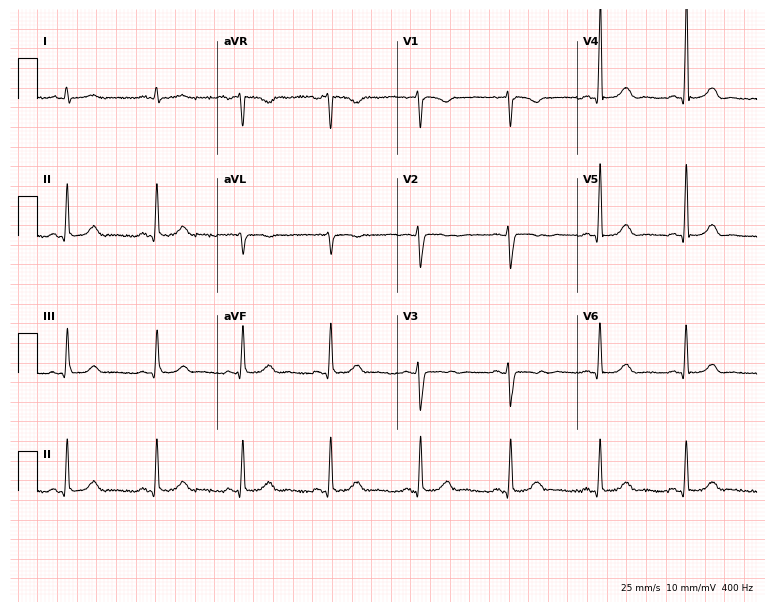
12-lead ECG (7.3-second recording at 400 Hz) from a 36-year-old woman. Screened for six findings — first-degree AV block, right bundle branch block, left bundle branch block, sinus bradycardia, atrial fibrillation, sinus tachycardia — none is recorded. Findings outside these six are not listed.